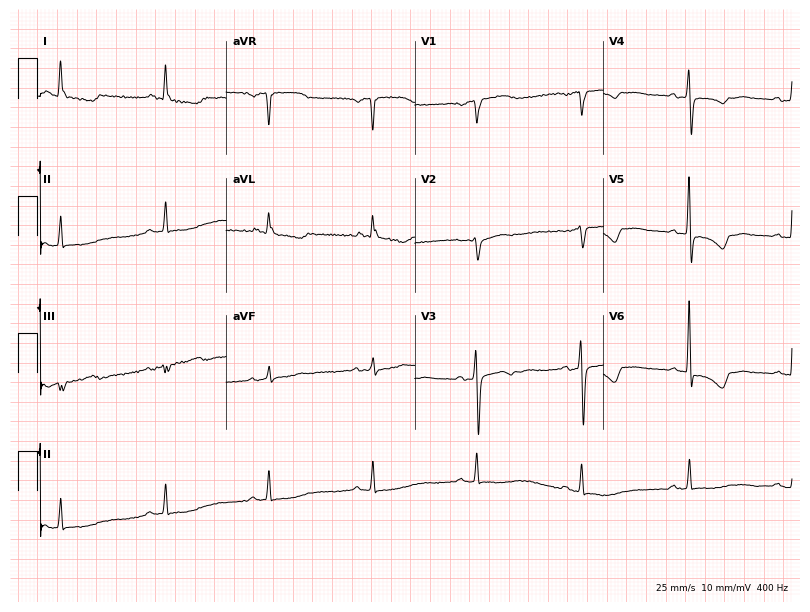
Electrocardiogram (7.7-second recording at 400 Hz), a female, 57 years old. Of the six screened findings (first-degree AV block, right bundle branch block, left bundle branch block, sinus bradycardia, atrial fibrillation, sinus tachycardia), none is recorded. Findings outside these six are not listed.